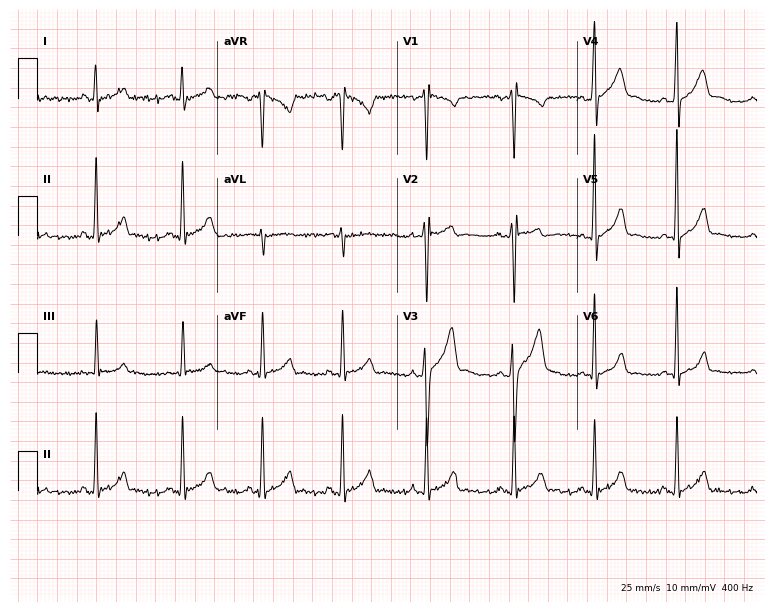
12-lead ECG from a 21-year-old male patient. No first-degree AV block, right bundle branch block (RBBB), left bundle branch block (LBBB), sinus bradycardia, atrial fibrillation (AF) or sinus tachycardia recorded for this tracing. Only these six findings were labelled.